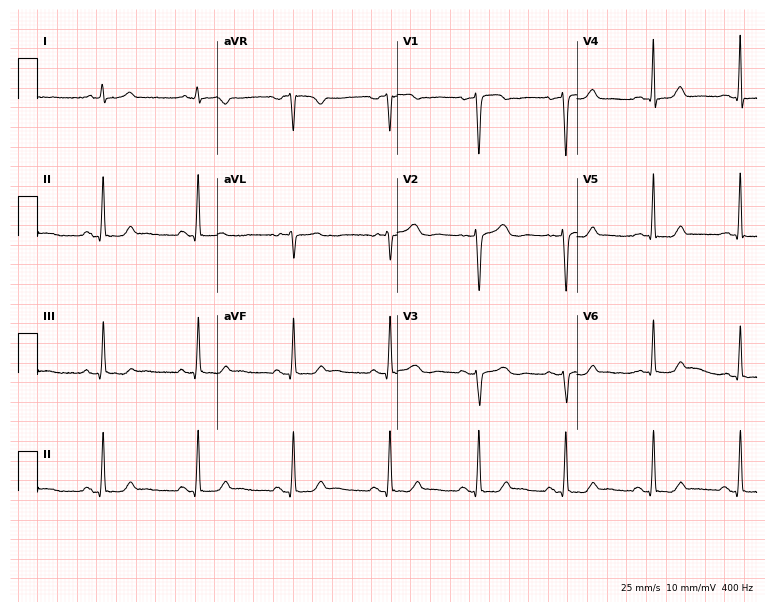
Resting 12-lead electrocardiogram. Patient: a 46-year-old female. Read as a normal ECG.